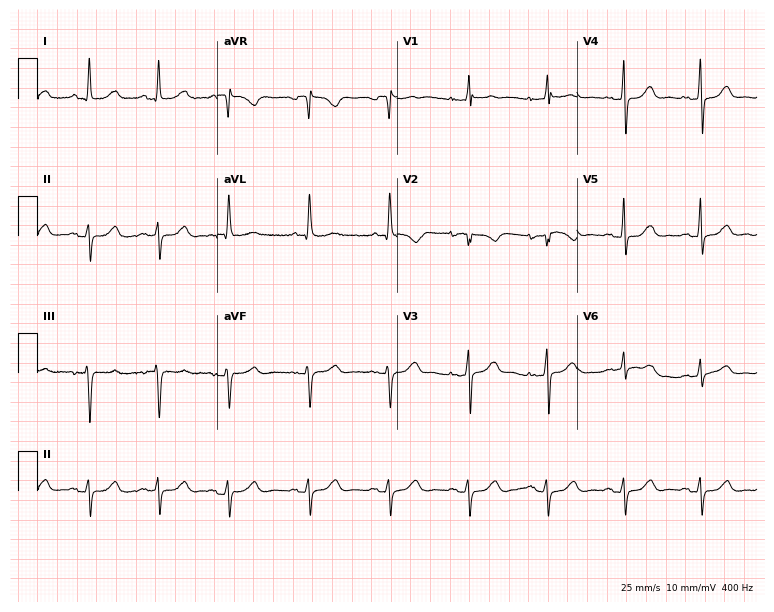
Electrocardiogram (7.3-second recording at 400 Hz), a woman, 85 years old. Of the six screened findings (first-degree AV block, right bundle branch block (RBBB), left bundle branch block (LBBB), sinus bradycardia, atrial fibrillation (AF), sinus tachycardia), none is recorded. Only these six findings were labelled.